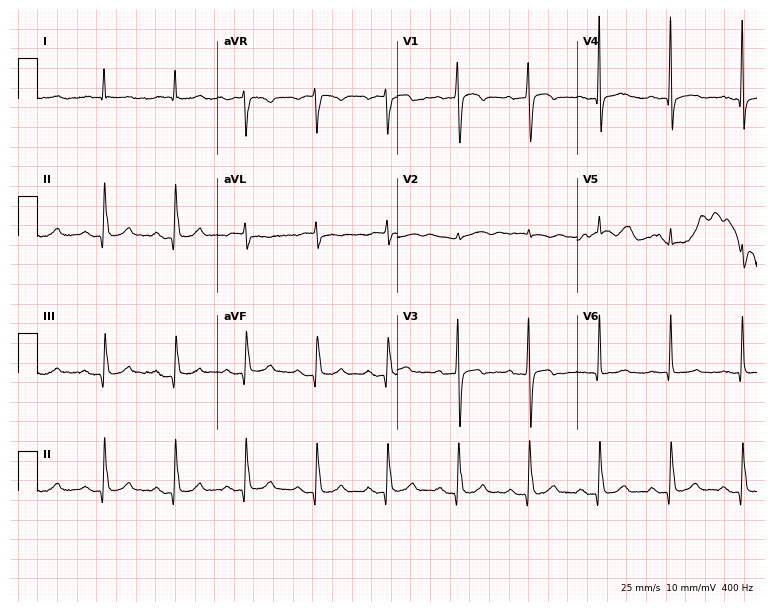
Resting 12-lead electrocardiogram. Patient: a male, 73 years old. None of these six findings is recorded: first-degree AV block, right bundle branch block, left bundle branch block, sinus bradycardia, atrial fibrillation, sinus tachycardia. Only these six findings were labelled.